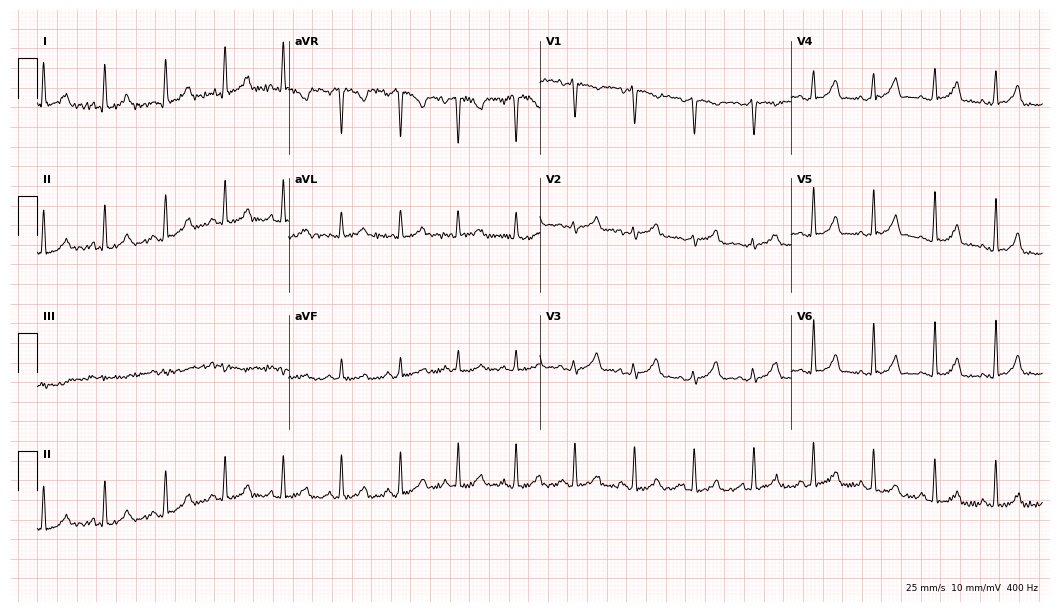
Standard 12-lead ECG recorded from a 38-year-old female. None of these six findings is recorded: first-degree AV block, right bundle branch block, left bundle branch block, sinus bradycardia, atrial fibrillation, sinus tachycardia. Findings outside these six are not listed.